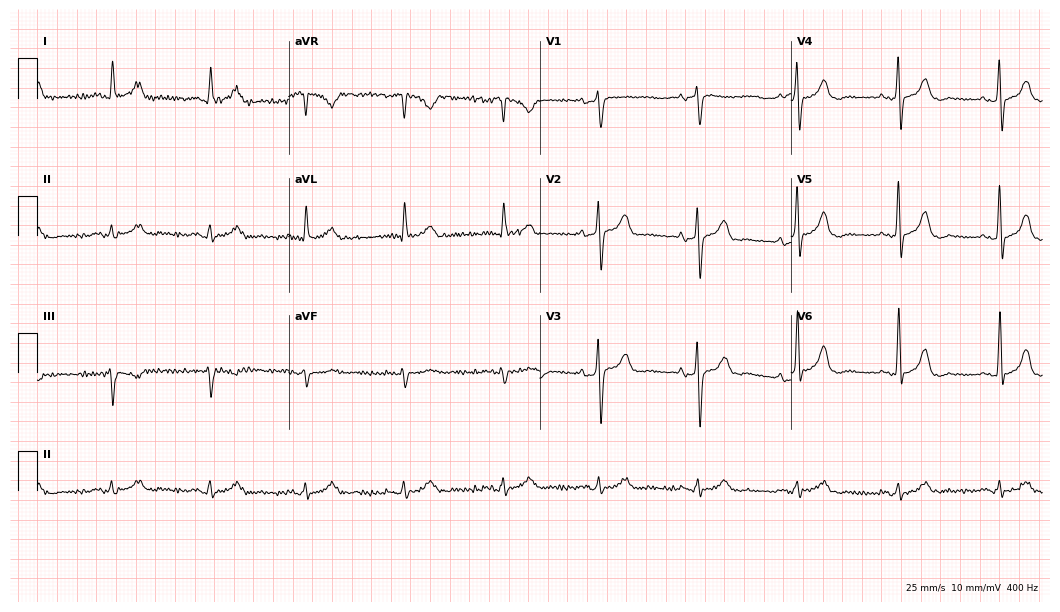
Resting 12-lead electrocardiogram. Patient: an 80-year-old male. None of these six findings is recorded: first-degree AV block, right bundle branch block, left bundle branch block, sinus bradycardia, atrial fibrillation, sinus tachycardia.